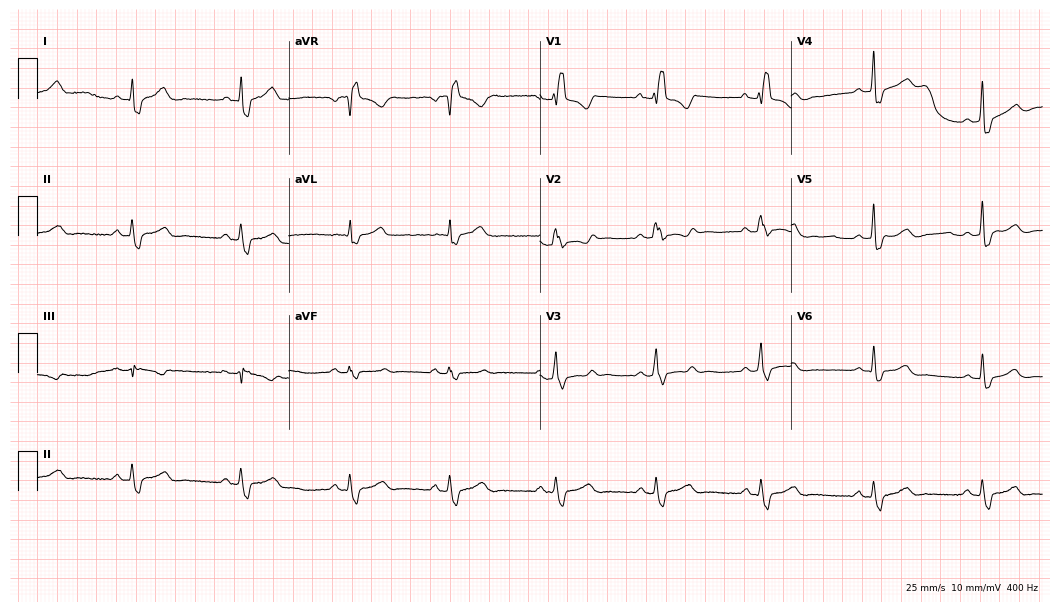
12-lead ECG from a female patient, 46 years old (10.2-second recording at 400 Hz). Shows right bundle branch block.